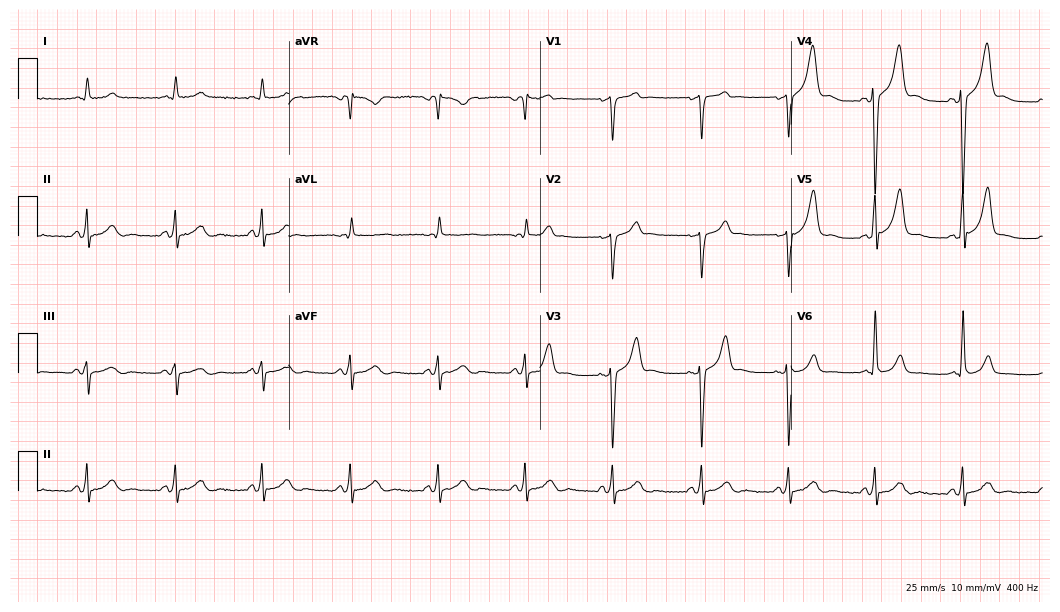
Standard 12-lead ECG recorded from a man, 75 years old. Read as a normal ECG.